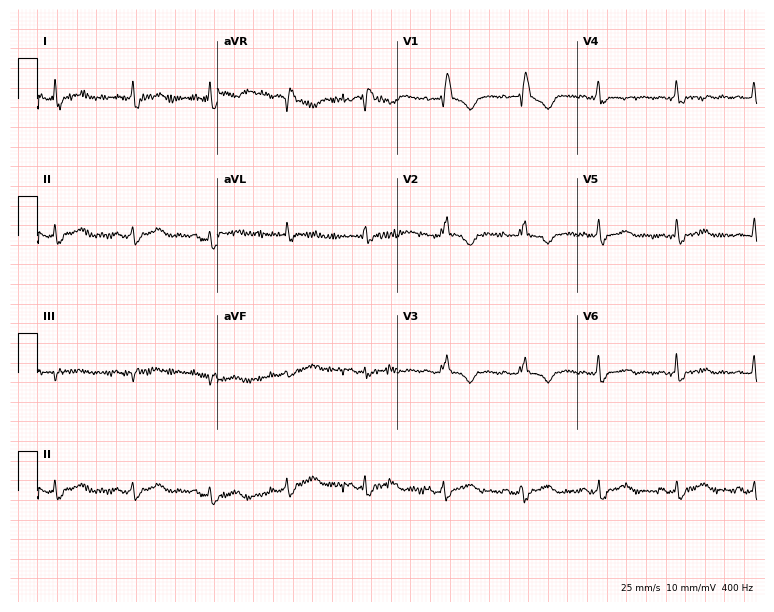
Electrocardiogram, a woman, 54 years old. Interpretation includes right bundle branch block (RBBB).